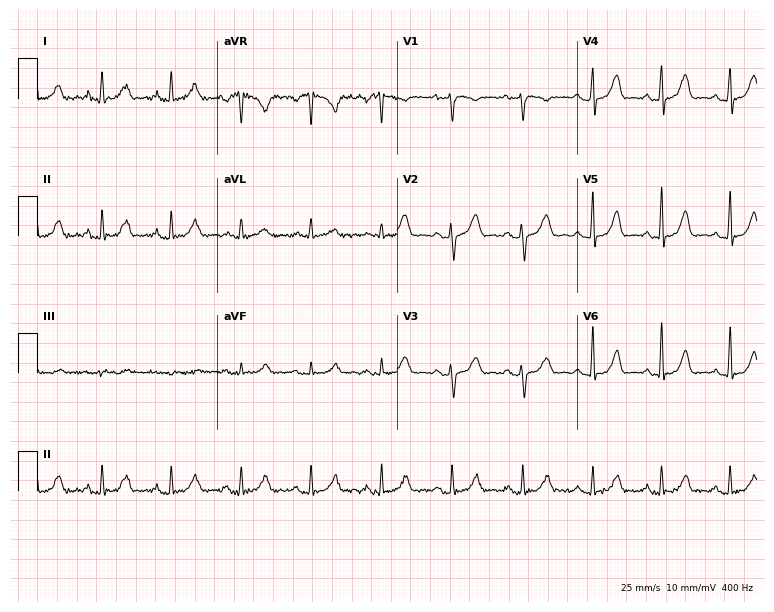
Resting 12-lead electrocardiogram. Patient: a woman, 50 years old. Read as a normal ECG.